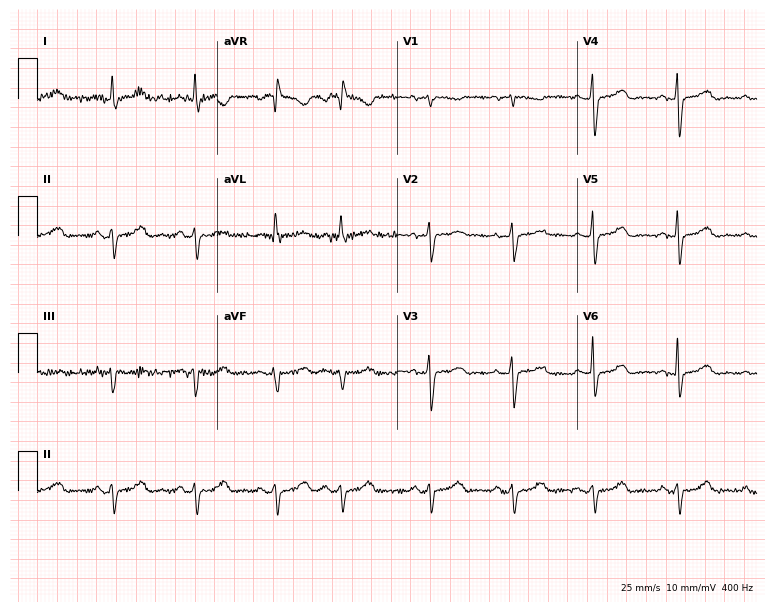
12-lead ECG from a 57-year-old female patient. Screened for six findings — first-degree AV block, right bundle branch block, left bundle branch block, sinus bradycardia, atrial fibrillation, sinus tachycardia — none is recorded. Findings outside these six are not listed.